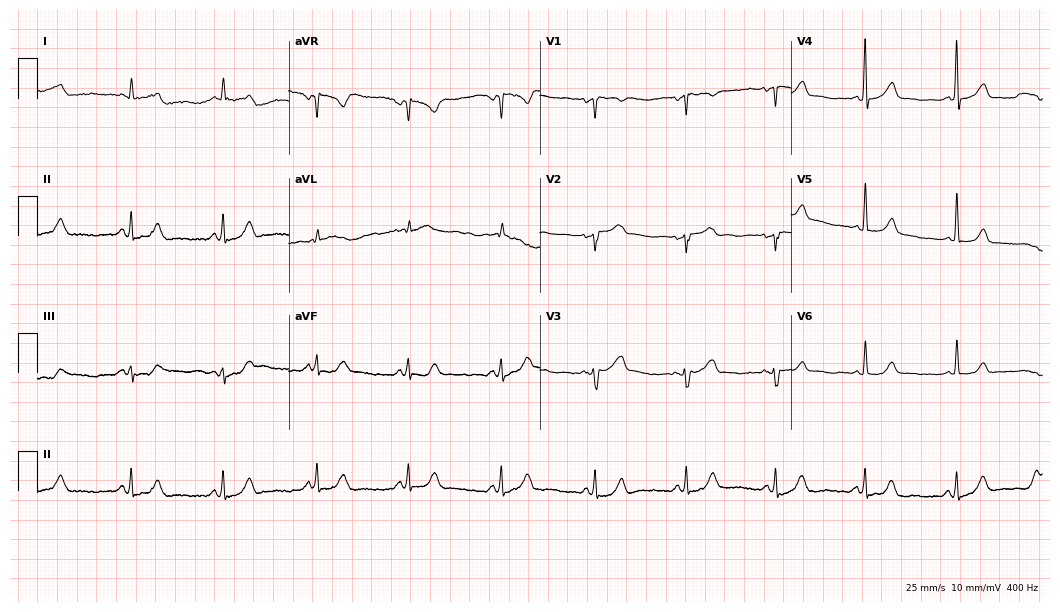
Resting 12-lead electrocardiogram (10.2-second recording at 400 Hz). Patient: an 84-year-old woman. None of these six findings is recorded: first-degree AV block, right bundle branch block, left bundle branch block, sinus bradycardia, atrial fibrillation, sinus tachycardia. Findings outside these six are not listed.